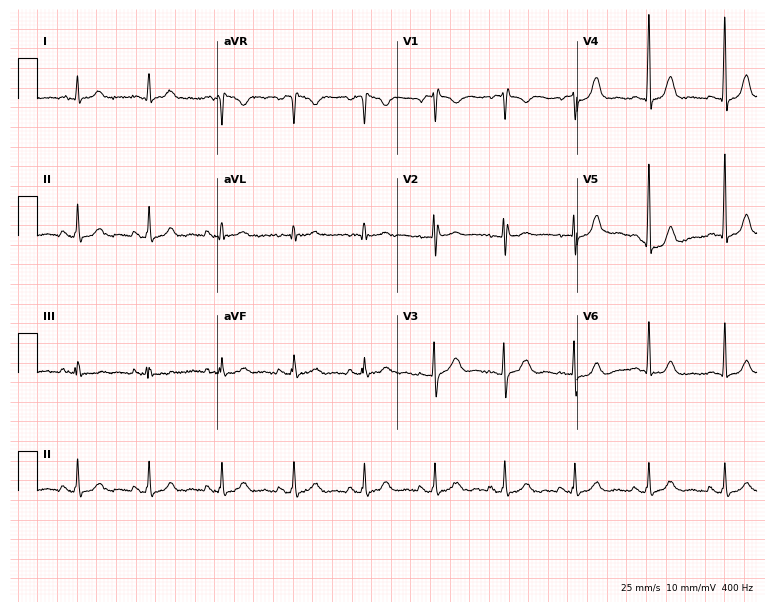
Electrocardiogram (7.3-second recording at 400 Hz), a female, 37 years old. Overall reading on record: normal ECG.